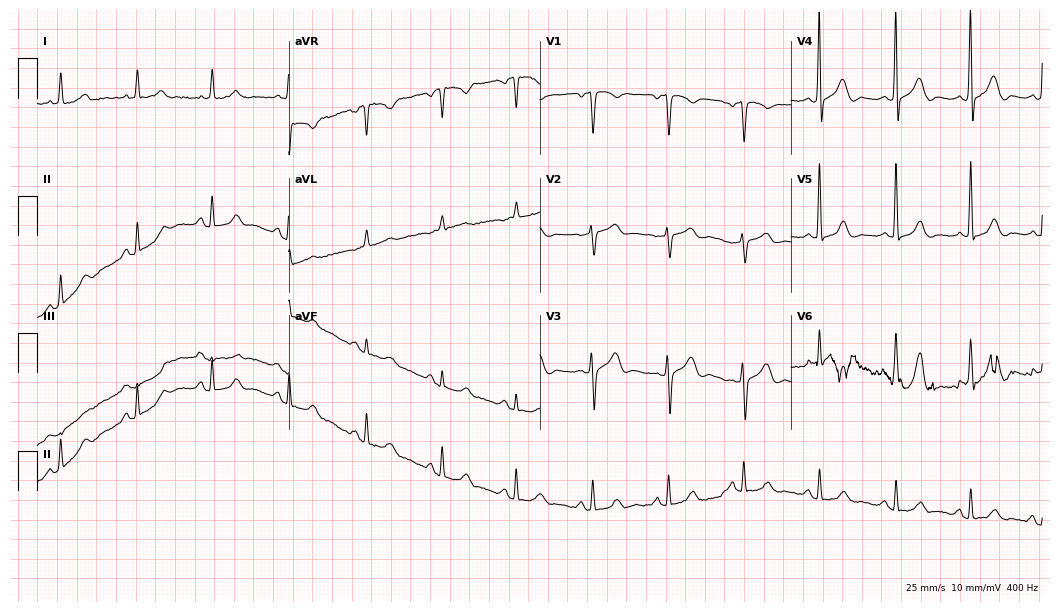
12-lead ECG from a 66-year-old woman. Labelled as a normal ECG.